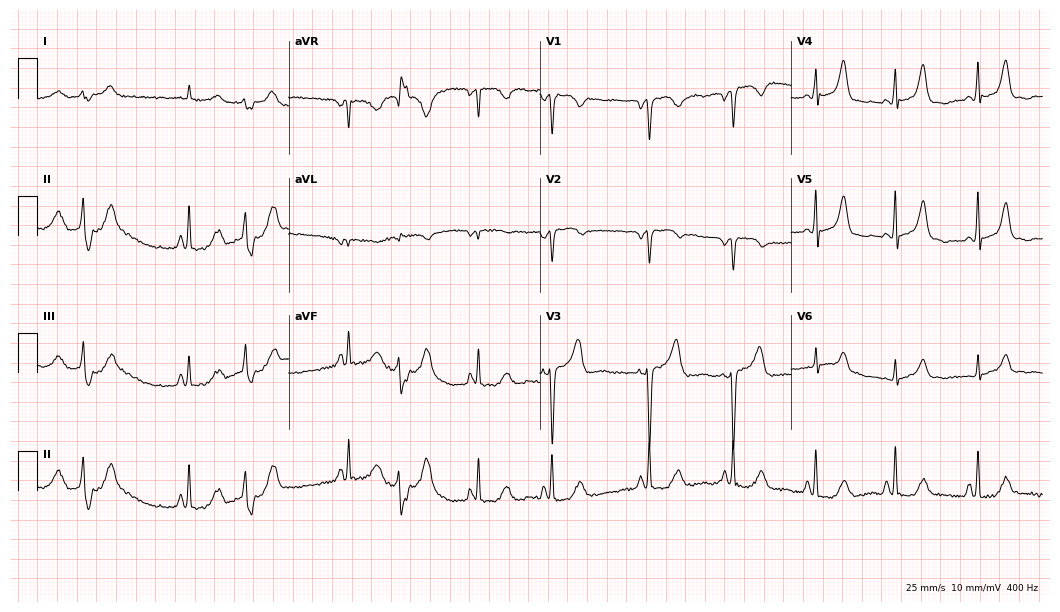
12-lead ECG (10.2-second recording at 400 Hz) from a female patient, 84 years old. Screened for six findings — first-degree AV block, right bundle branch block, left bundle branch block, sinus bradycardia, atrial fibrillation, sinus tachycardia — none is recorded. Other findings, if any, are not listed.